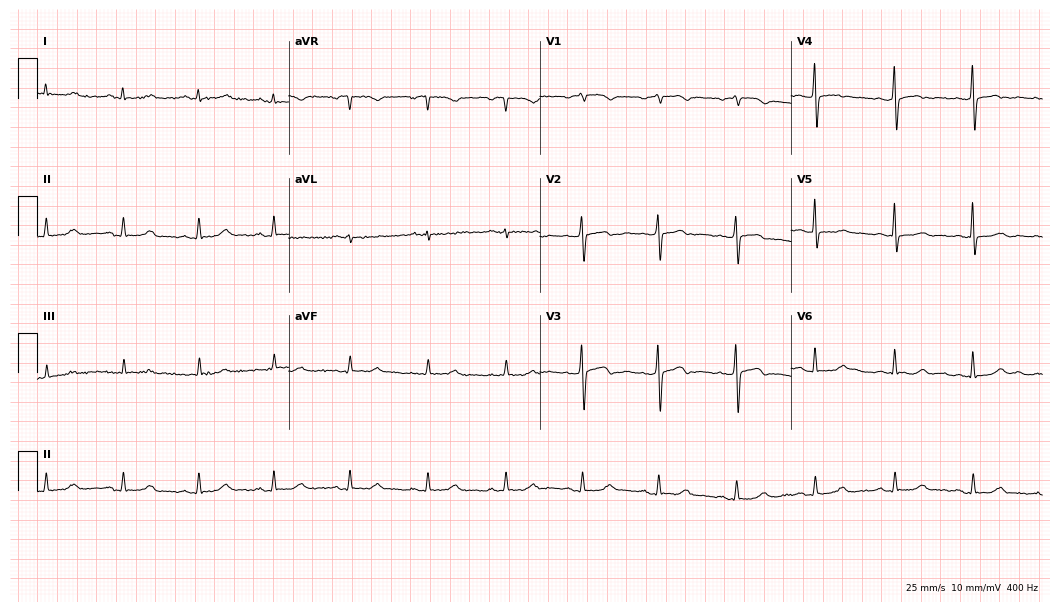
12-lead ECG from a female patient, 65 years old. Screened for six findings — first-degree AV block, right bundle branch block (RBBB), left bundle branch block (LBBB), sinus bradycardia, atrial fibrillation (AF), sinus tachycardia — none is recorded. Findings outside these six are not listed.